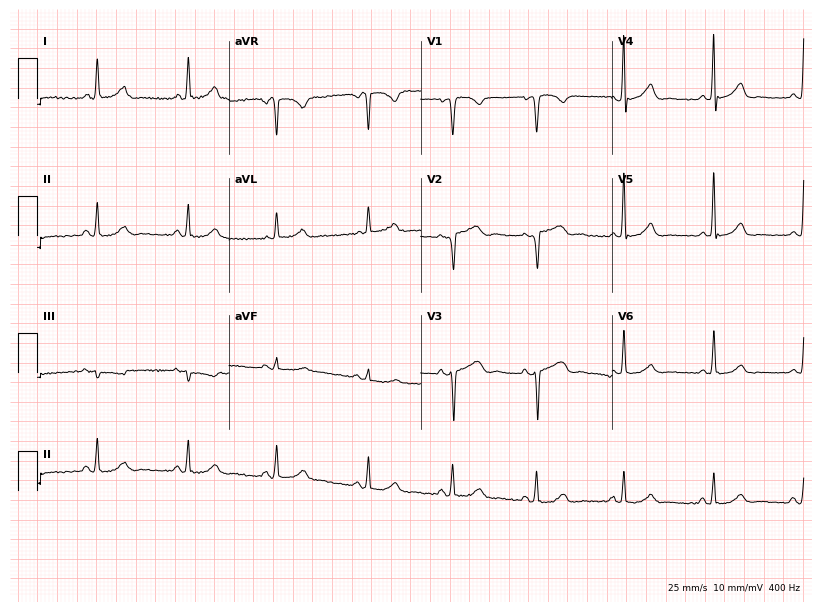
Standard 12-lead ECG recorded from a woman, 58 years old. None of these six findings is recorded: first-degree AV block, right bundle branch block (RBBB), left bundle branch block (LBBB), sinus bradycardia, atrial fibrillation (AF), sinus tachycardia.